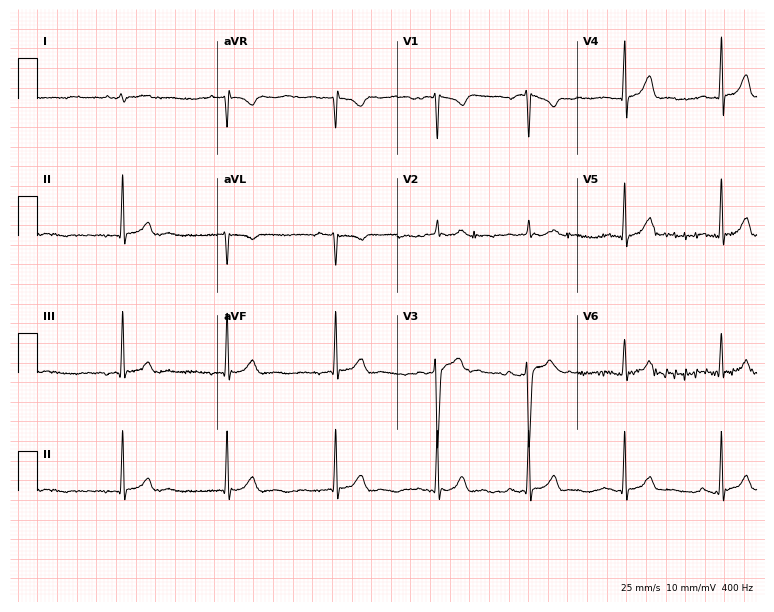
Resting 12-lead electrocardiogram (7.3-second recording at 400 Hz). Patient: a 25-year-old male. Read as a normal ECG.